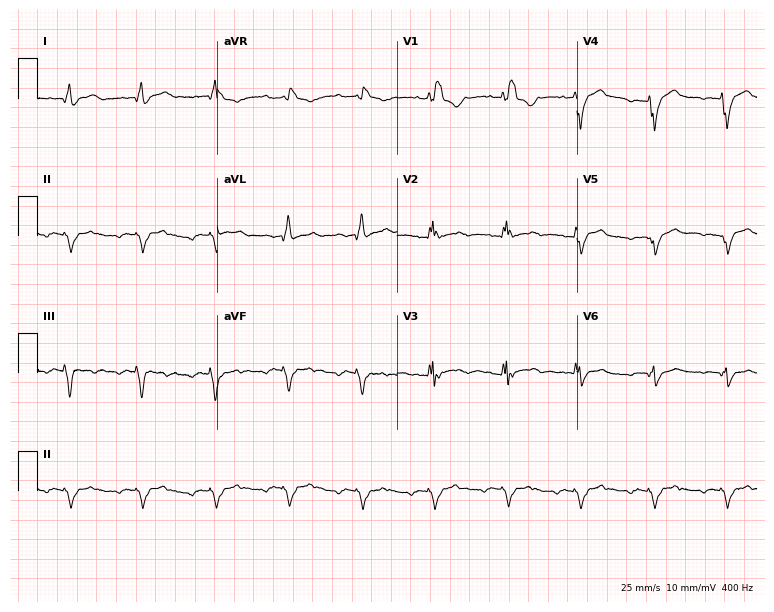
Electrocardiogram (7.3-second recording at 400 Hz), a 38-year-old man. Interpretation includes right bundle branch block.